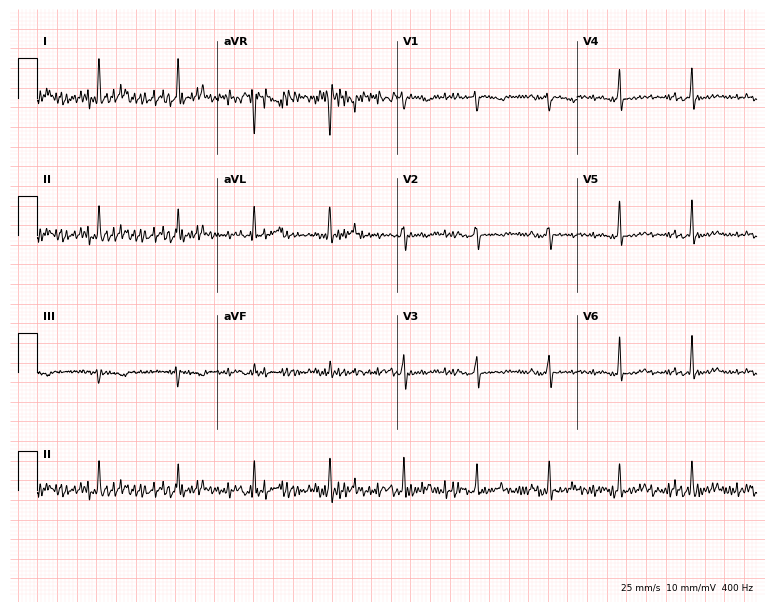
Resting 12-lead electrocardiogram (7.3-second recording at 400 Hz). Patient: a 36-year-old female. None of these six findings is recorded: first-degree AV block, right bundle branch block, left bundle branch block, sinus bradycardia, atrial fibrillation, sinus tachycardia.